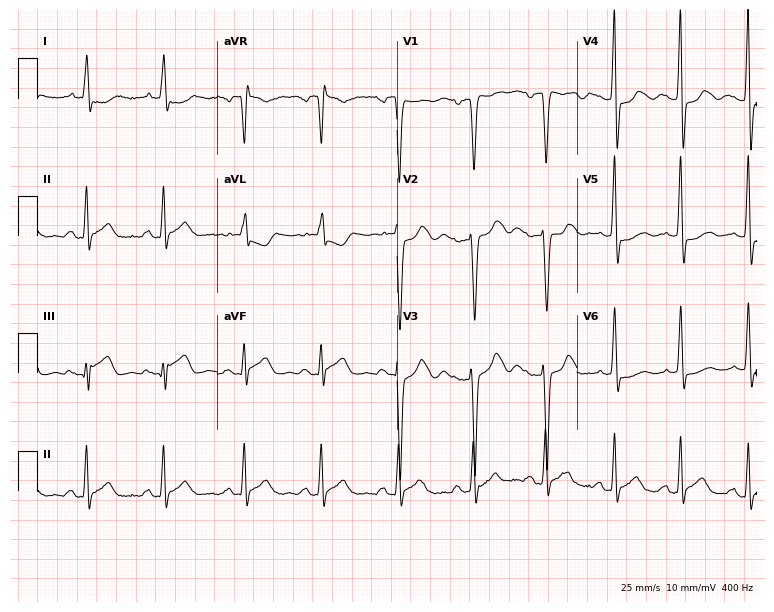
Resting 12-lead electrocardiogram (7.3-second recording at 400 Hz). Patient: a 48-year-old female. None of these six findings is recorded: first-degree AV block, right bundle branch block, left bundle branch block, sinus bradycardia, atrial fibrillation, sinus tachycardia.